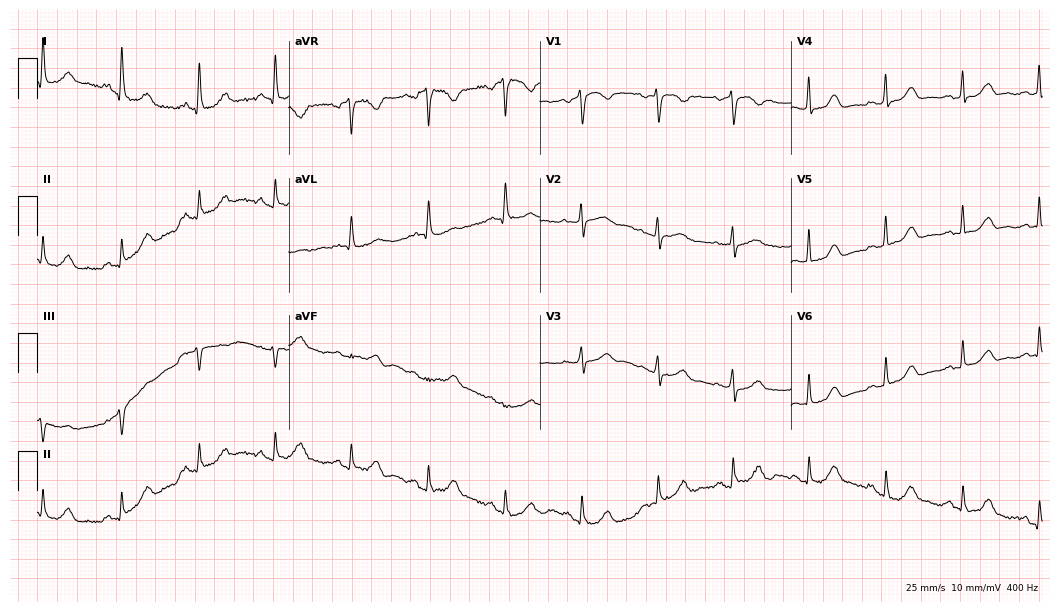
Standard 12-lead ECG recorded from a 63-year-old woman. Read as a normal ECG.